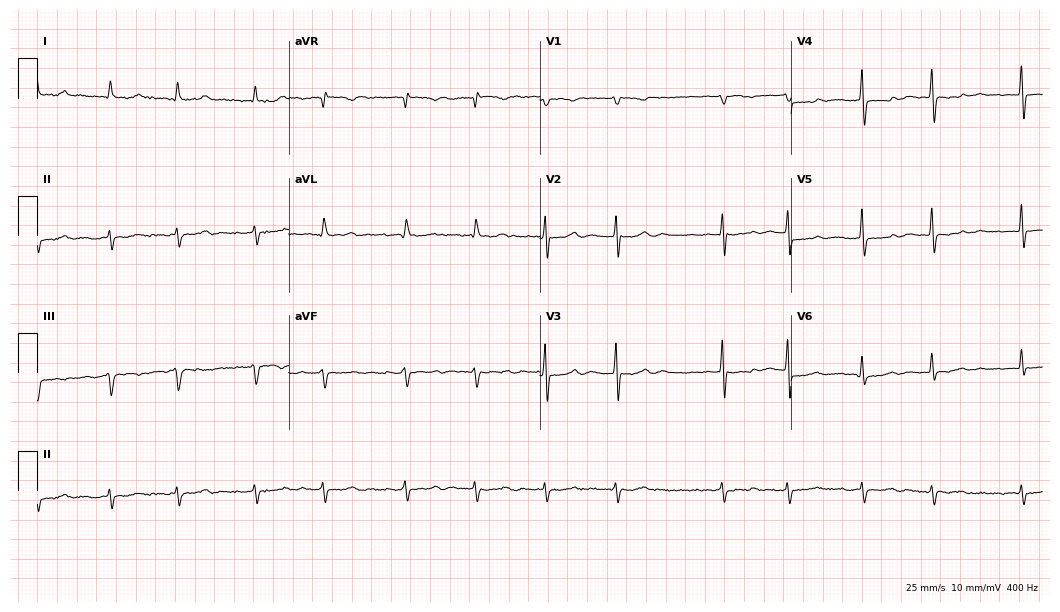
Standard 12-lead ECG recorded from a 73-year-old female. The tracing shows atrial fibrillation (AF).